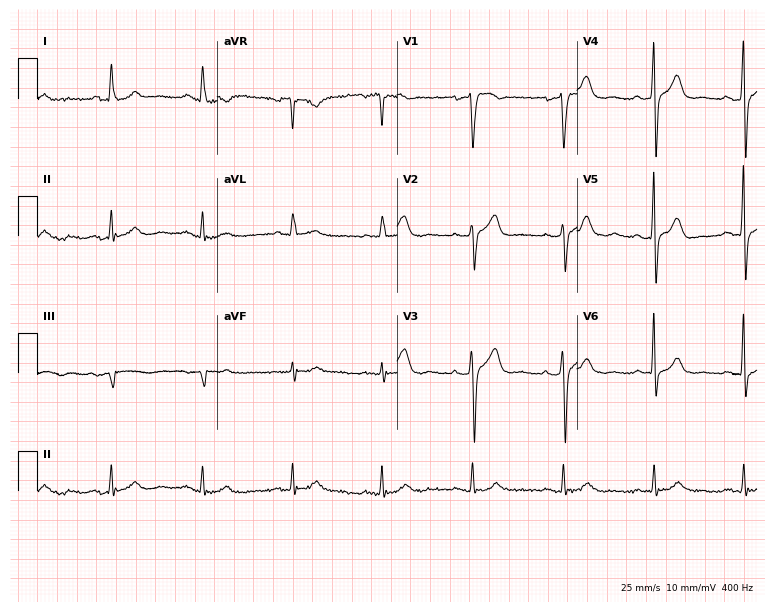
Resting 12-lead electrocardiogram (7.3-second recording at 400 Hz). Patient: a male, 66 years old. Read as a normal ECG.